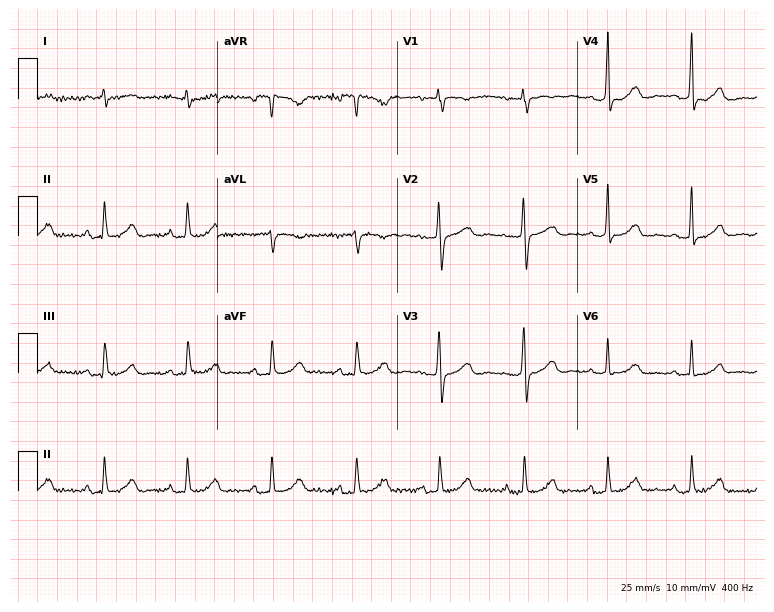
Standard 12-lead ECG recorded from a 56-year-old female patient. Read as a normal ECG.